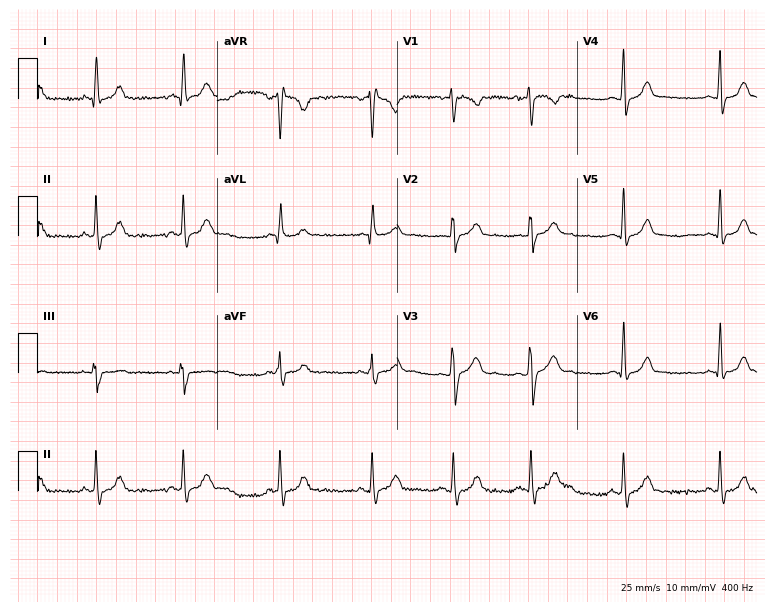
12-lead ECG (7.3-second recording at 400 Hz) from a 21-year-old woman. Labelled as a normal ECG.